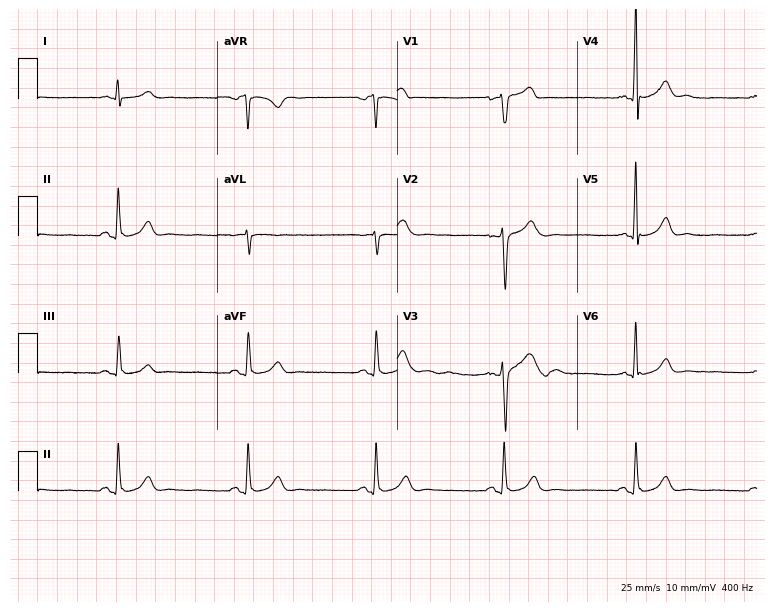
Standard 12-lead ECG recorded from a 46-year-old man (7.3-second recording at 400 Hz). Read as a normal ECG.